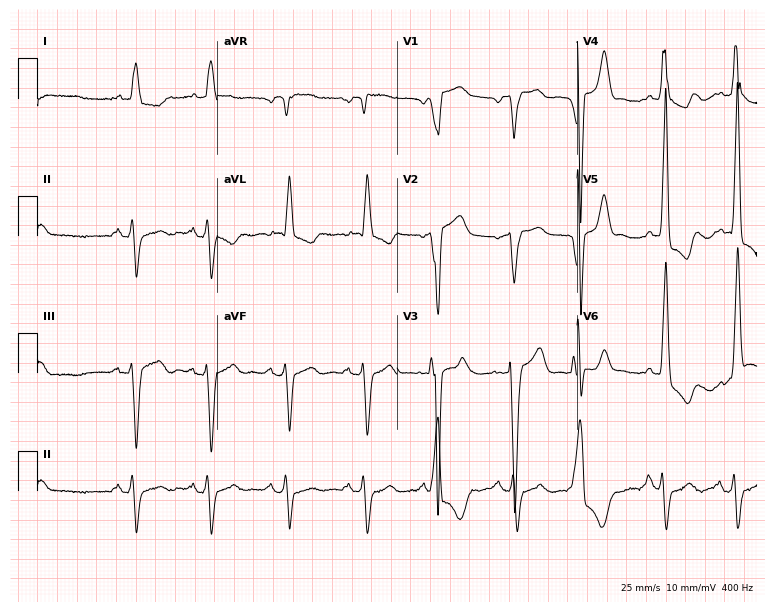
Electrocardiogram, a male patient, 80 years old. Interpretation includes left bundle branch block.